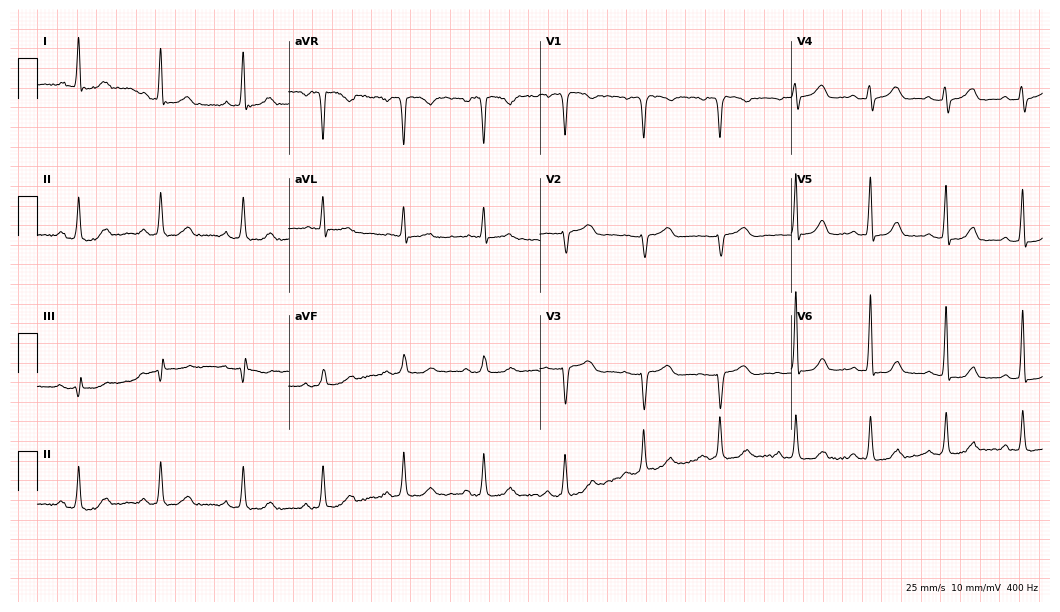
Resting 12-lead electrocardiogram (10.2-second recording at 400 Hz). Patient: a 59-year-old female. None of these six findings is recorded: first-degree AV block, right bundle branch block, left bundle branch block, sinus bradycardia, atrial fibrillation, sinus tachycardia. Only these six findings were labelled.